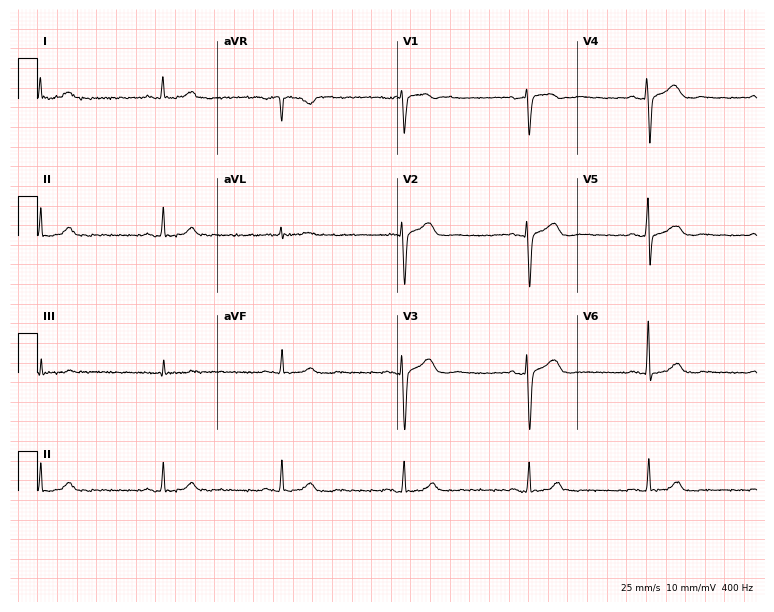
ECG — a male, 62 years old. Labelled as a normal ECG.